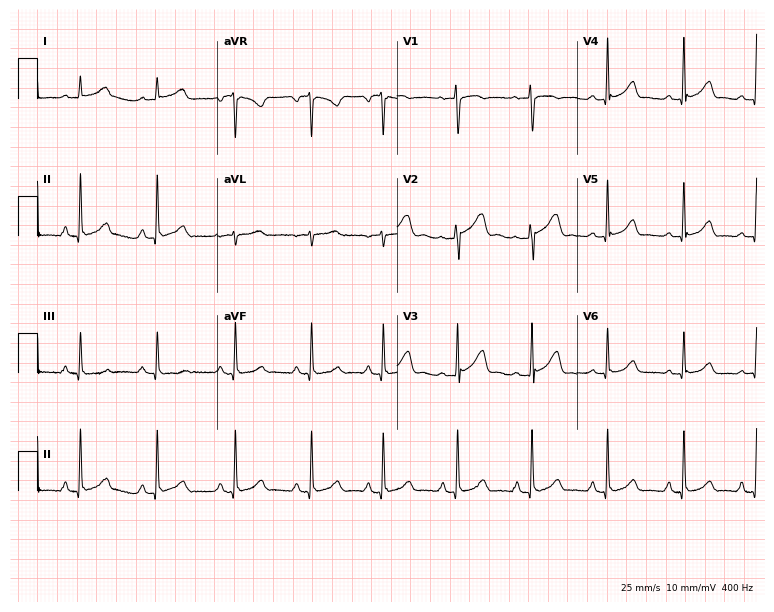
Standard 12-lead ECG recorded from a female, 29 years old (7.3-second recording at 400 Hz). Read as a normal ECG.